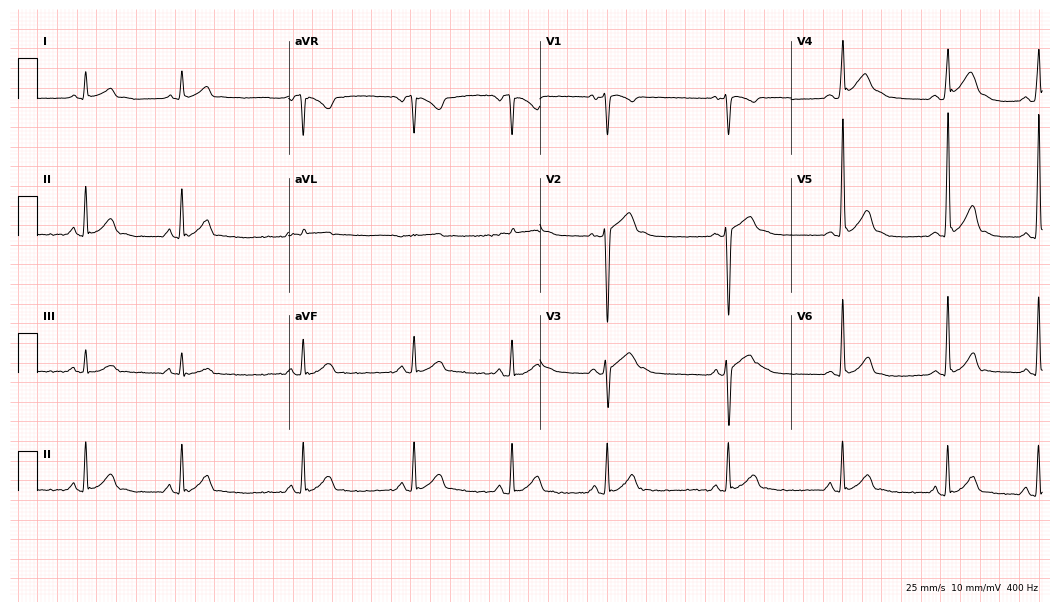
12-lead ECG from a 25-year-old man (10.2-second recording at 400 Hz). Recorded interpretation: within normal limits.